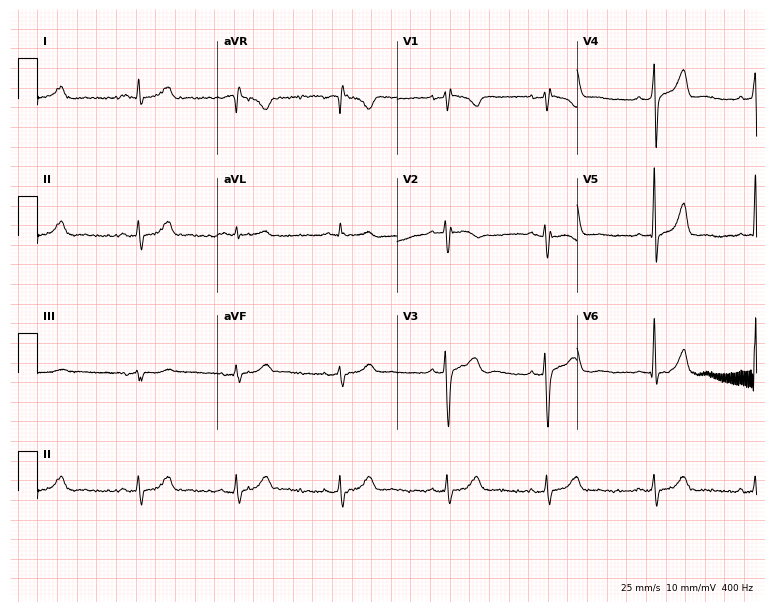
12-lead ECG from a man, 50 years old (7.3-second recording at 400 Hz). No first-degree AV block, right bundle branch block, left bundle branch block, sinus bradycardia, atrial fibrillation or sinus tachycardia recorded for this tracing. Only these six findings were labelled.